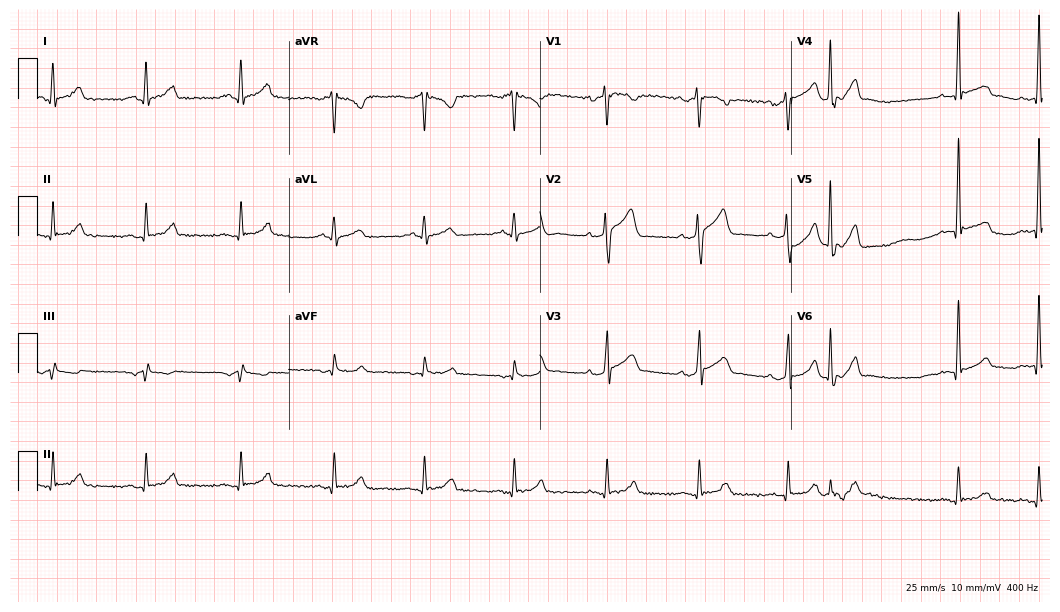
12-lead ECG from a 42-year-old male (10.2-second recording at 400 Hz). Recorded interpretation: within normal limits.